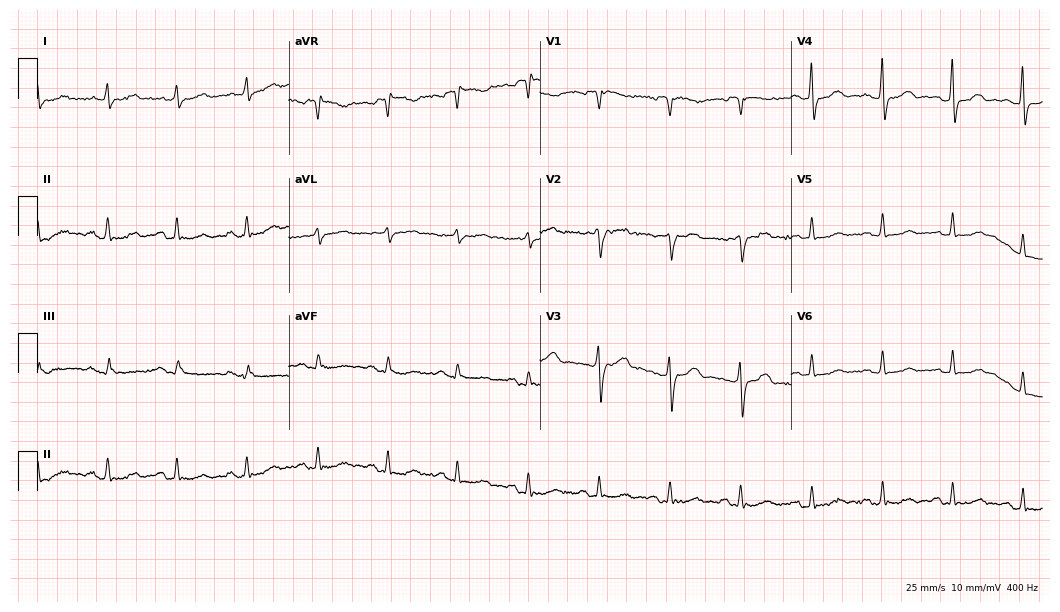
ECG (10.2-second recording at 400 Hz) — a 74-year-old female patient. Screened for six findings — first-degree AV block, right bundle branch block (RBBB), left bundle branch block (LBBB), sinus bradycardia, atrial fibrillation (AF), sinus tachycardia — none is recorded. Other findings, if any, are not listed.